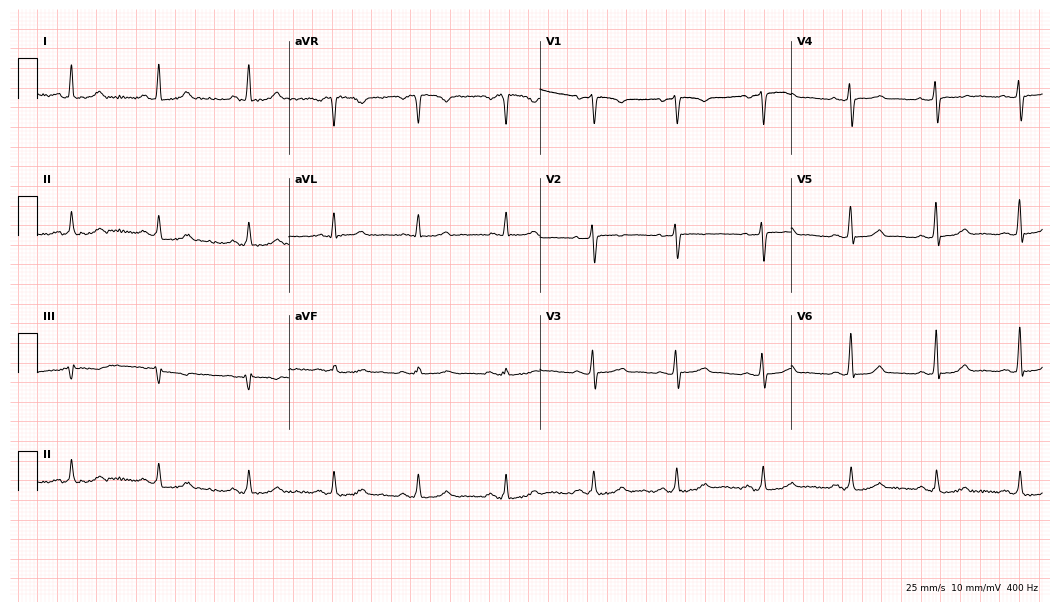
12-lead ECG from a female patient, 41 years old. Labelled as a normal ECG.